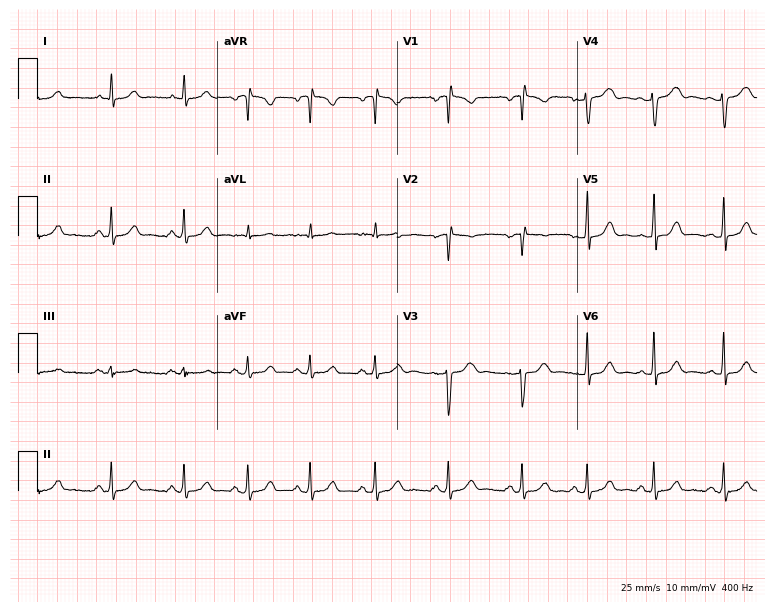
12-lead ECG from a female, 25 years old. Screened for six findings — first-degree AV block, right bundle branch block, left bundle branch block, sinus bradycardia, atrial fibrillation, sinus tachycardia — none is recorded. Only these six findings were labelled.